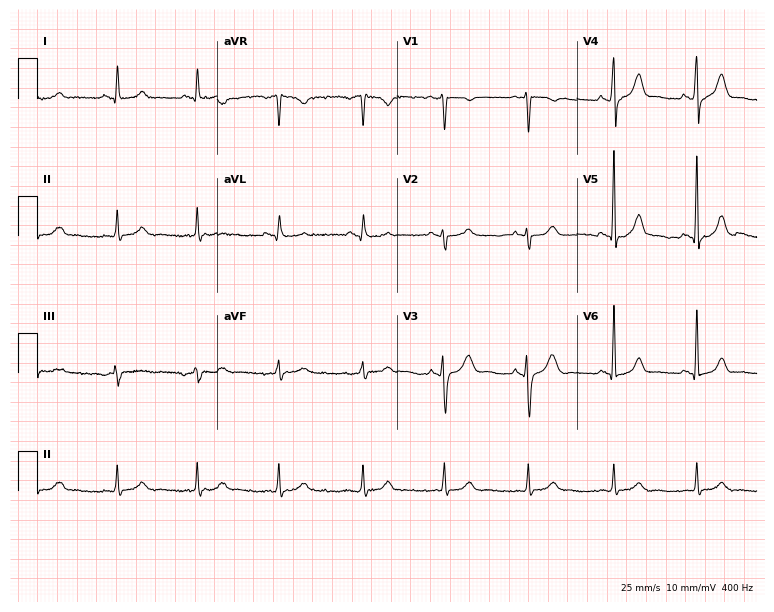
12-lead ECG from a 44-year-old female patient (7.3-second recording at 400 Hz). Recorded interpretation: within normal limits.